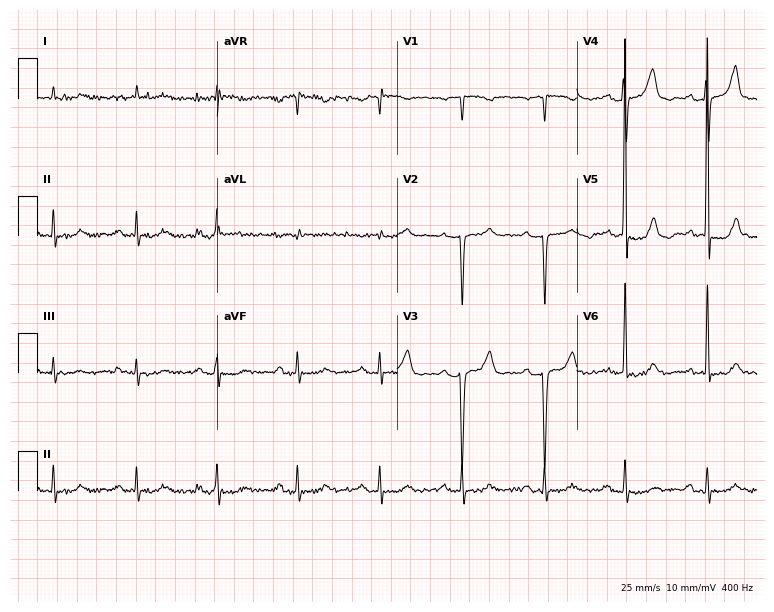
Standard 12-lead ECG recorded from an 81-year-old woman (7.3-second recording at 400 Hz). None of these six findings is recorded: first-degree AV block, right bundle branch block, left bundle branch block, sinus bradycardia, atrial fibrillation, sinus tachycardia. Findings outside these six are not listed.